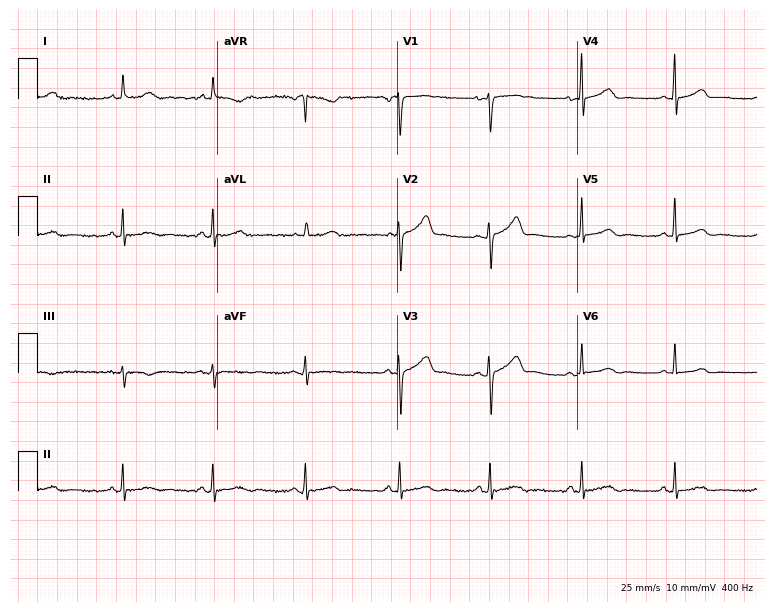
Resting 12-lead electrocardiogram (7.3-second recording at 400 Hz). Patient: a 42-year-old female. Read as a normal ECG.